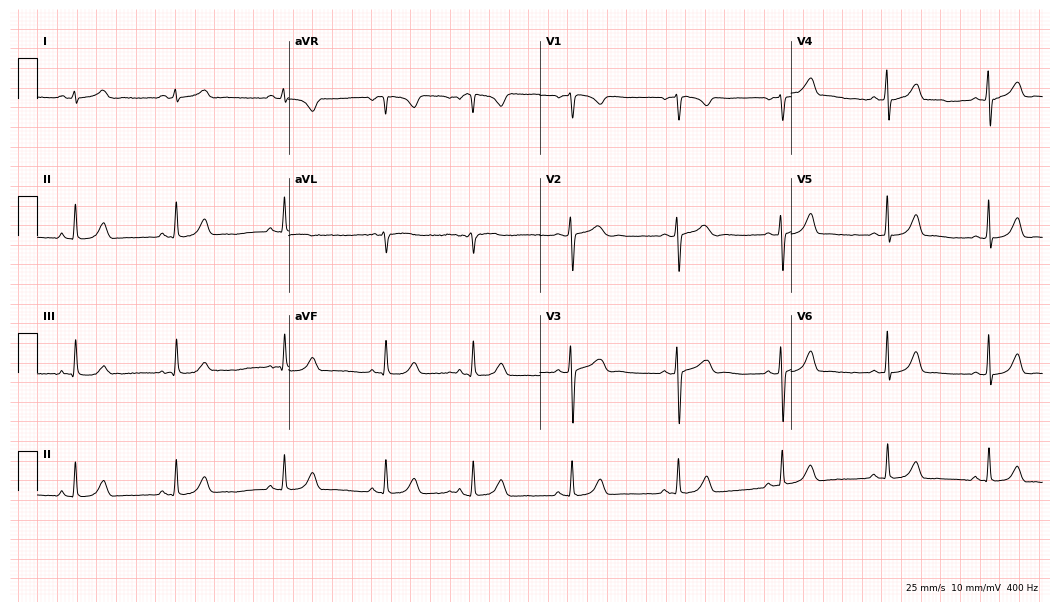
Resting 12-lead electrocardiogram (10.2-second recording at 400 Hz). Patient: a woman, 22 years old. Read as a normal ECG.